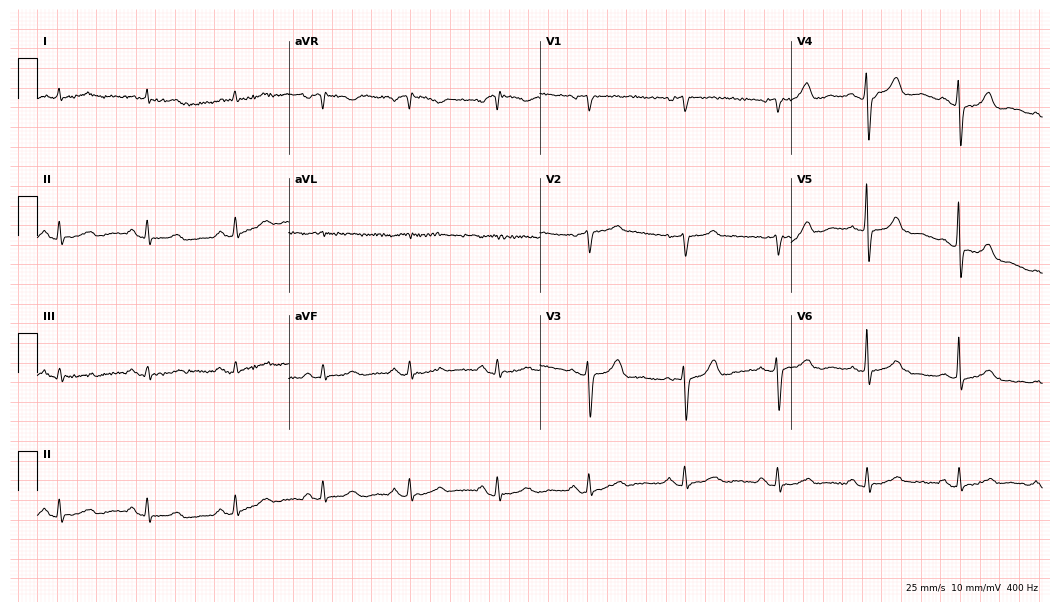
12-lead ECG from a male patient, 79 years old. No first-degree AV block, right bundle branch block, left bundle branch block, sinus bradycardia, atrial fibrillation or sinus tachycardia recorded for this tracing. Other findings, if any, are not listed.